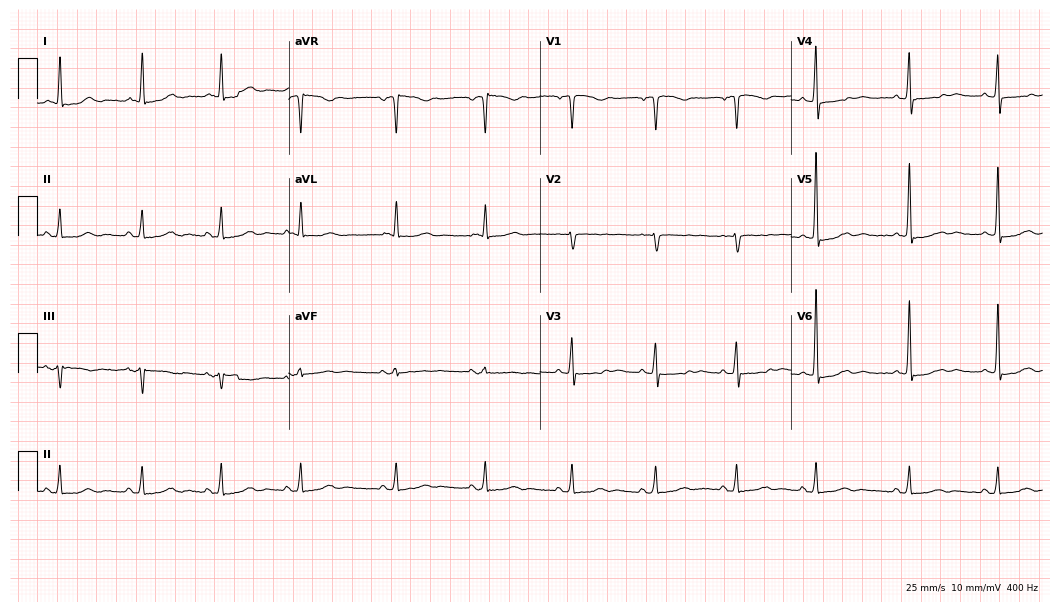
ECG (10.2-second recording at 400 Hz) — a 69-year-old female. Screened for six findings — first-degree AV block, right bundle branch block, left bundle branch block, sinus bradycardia, atrial fibrillation, sinus tachycardia — none is recorded.